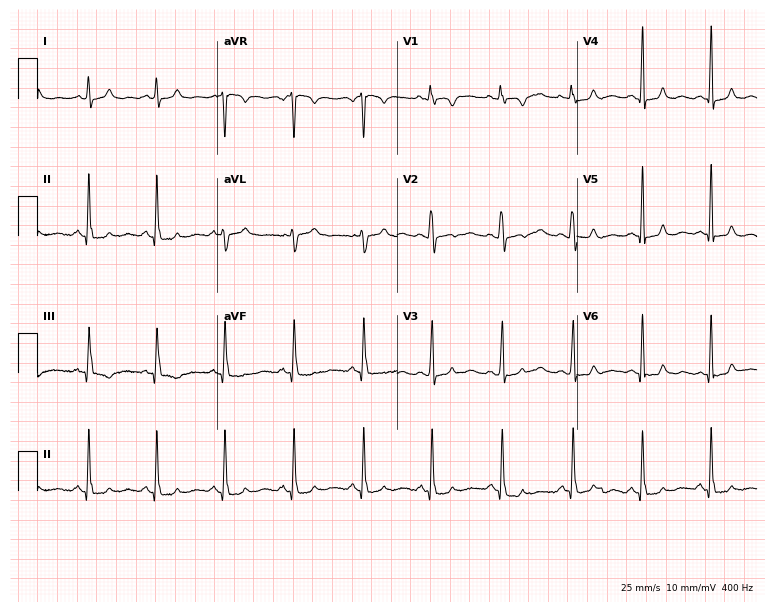
Resting 12-lead electrocardiogram (7.3-second recording at 400 Hz). Patient: a 33-year-old female. Read as a normal ECG.